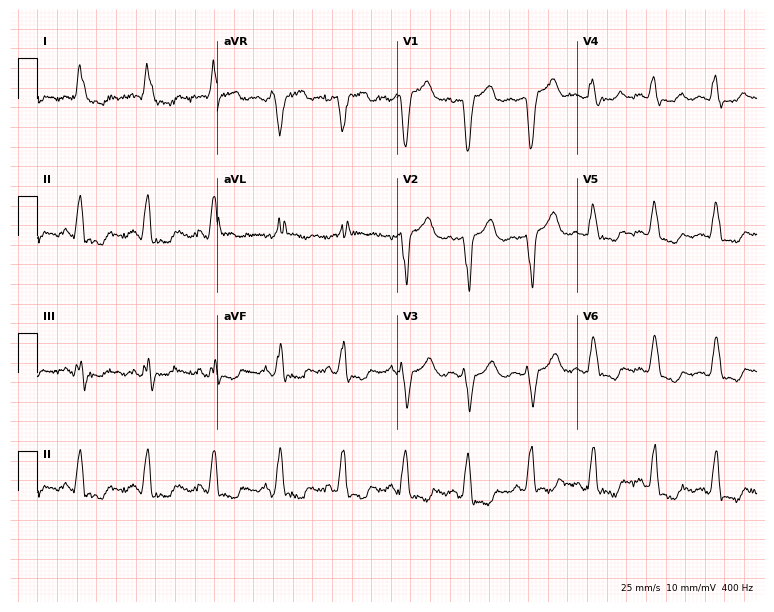
ECG — a female patient, 76 years old. Findings include left bundle branch block.